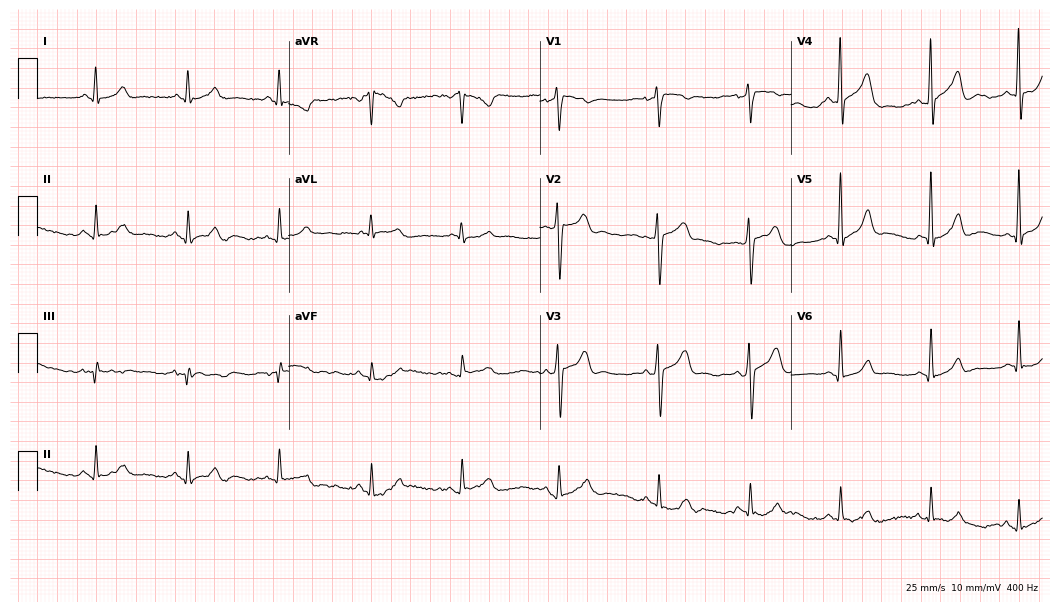
Standard 12-lead ECG recorded from a male, 32 years old (10.2-second recording at 400 Hz). Read as a normal ECG.